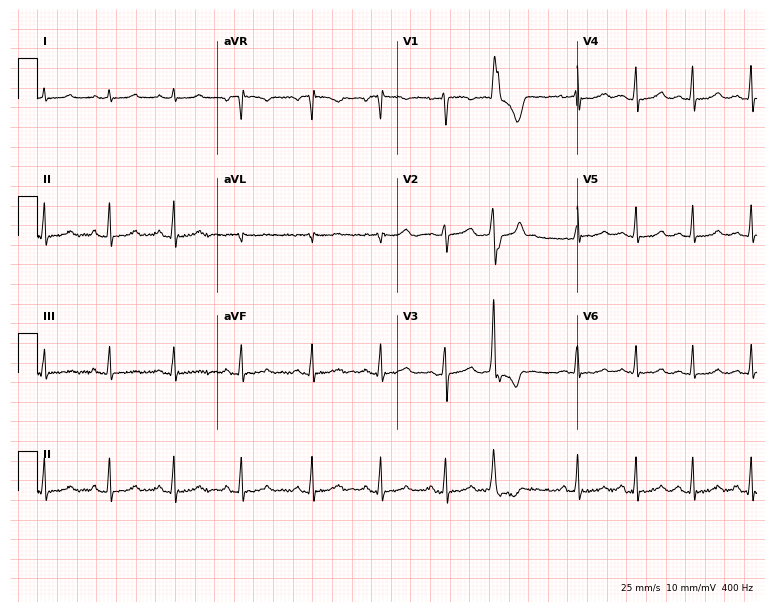
Electrocardiogram, a 28-year-old female. Of the six screened findings (first-degree AV block, right bundle branch block, left bundle branch block, sinus bradycardia, atrial fibrillation, sinus tachycardia), none is recorded.